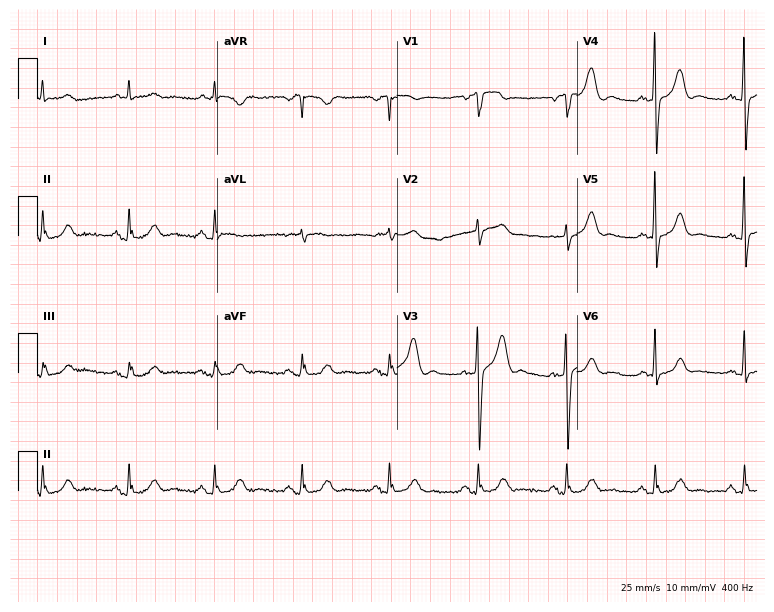
Electrocardiogram, a male, 72 years old. Of the six screened findings (first-degree AV block, right bundle branch block, left bundle branch block, sinus bradycardia, atrial fibrillation, sinus tachycardia), none is recorded. Other findings, if any, are not listed.